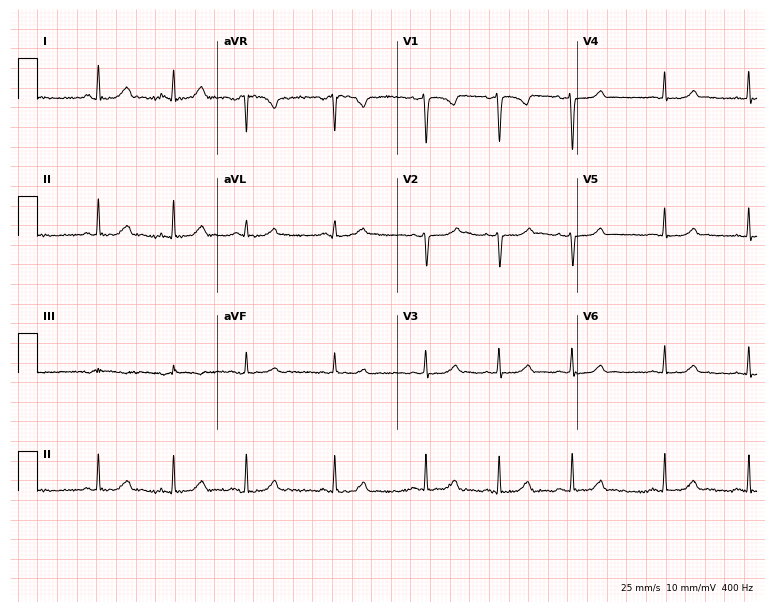
Standard 12-lead ECG recorded from a female patient, 28 years old (7.3-second recording at 400 Hz). None of these six findings is recorded: first-degree AV block, right bundle branch block, left bundle branch block, sinus bradycardia, atrial fibrillation, sinus tachycardia.